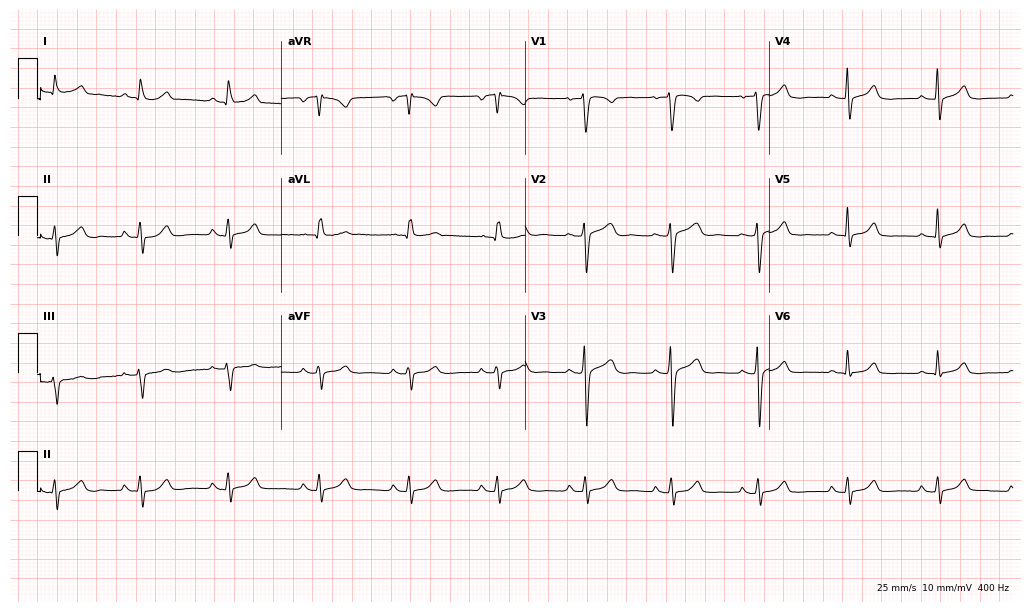
ECG — a 48-year-old woman. Screened for six findings — first-degree AV block, right bundle branch block (RBBB), left bundle branch block (LBBB), sinus bradycardia, atrial fibrillation (AF), sinus tachycardia — none is recorded. Findings outside these six are not listed.